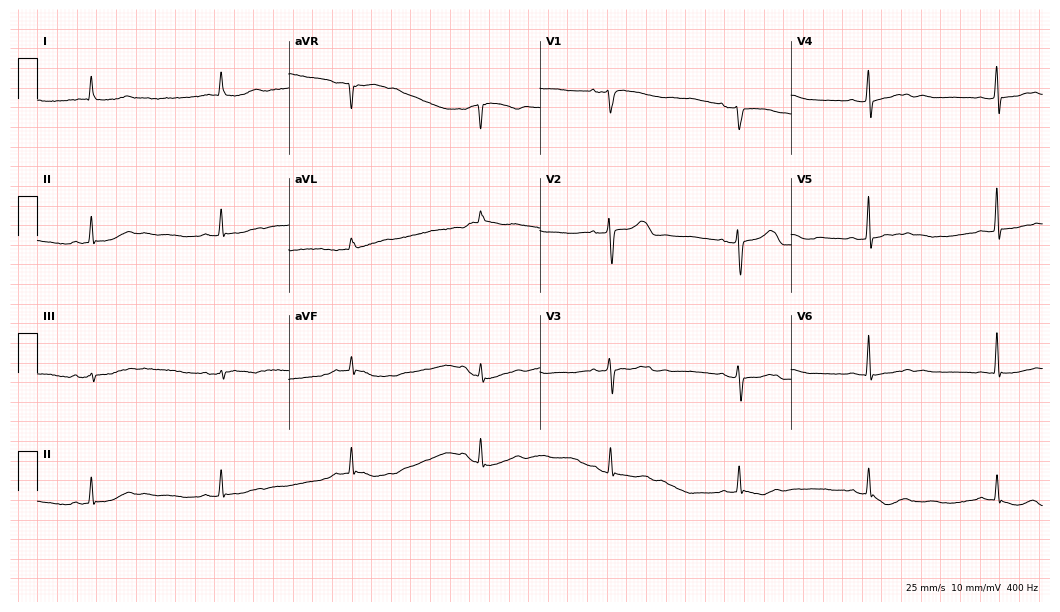
Standard 12-lead ECG recorded from a male patient, 82 years old (10.2-second recording at 400 Hz). The tracing shows sinus bradycardia (a sinus rate of 50 beats per minute or less).